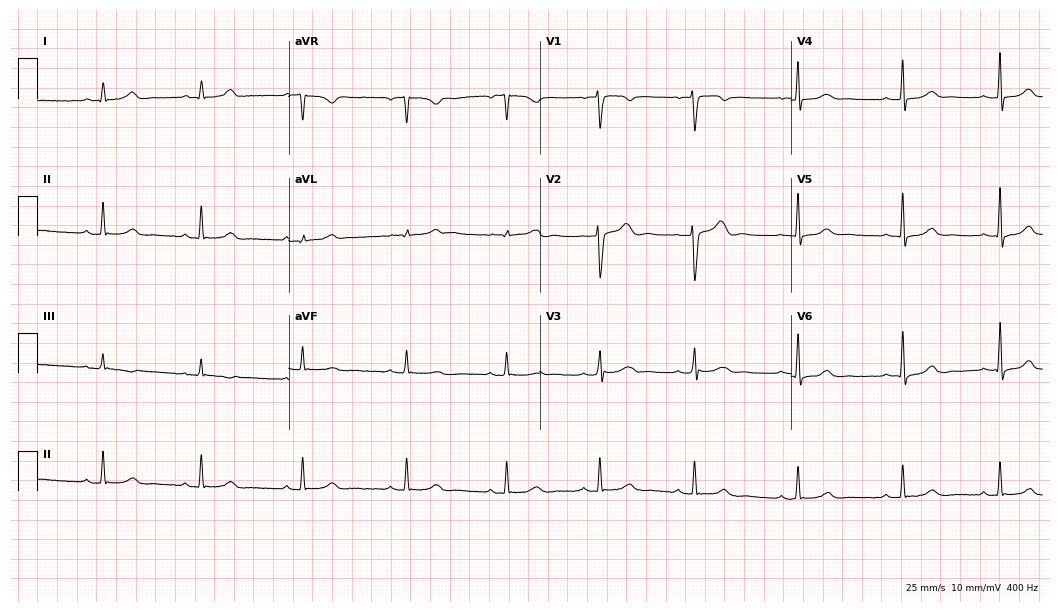
Electrocardiogram, a female patient, 29 years old. Overall reading on record: normal ECG.